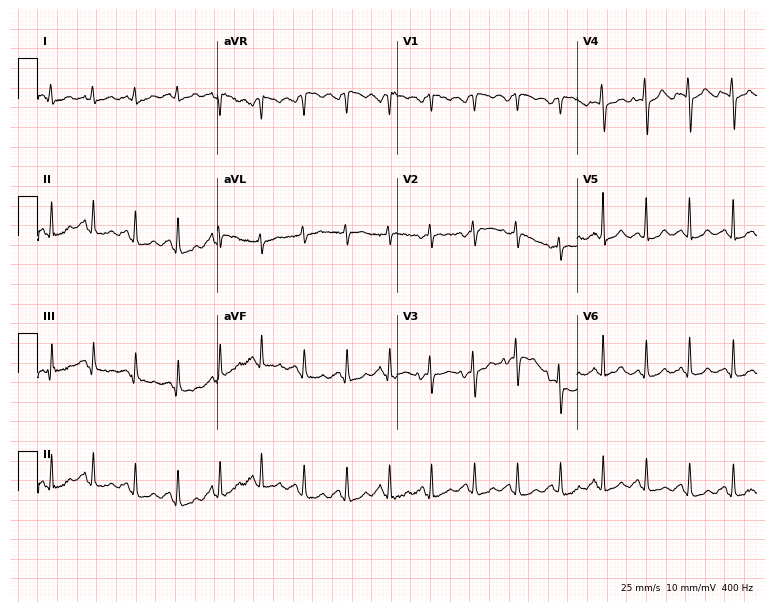
12-lead ECG from a female, 25 years old. Shows sinus tachycardia (a sinus rate of 100 beats per minute or more).